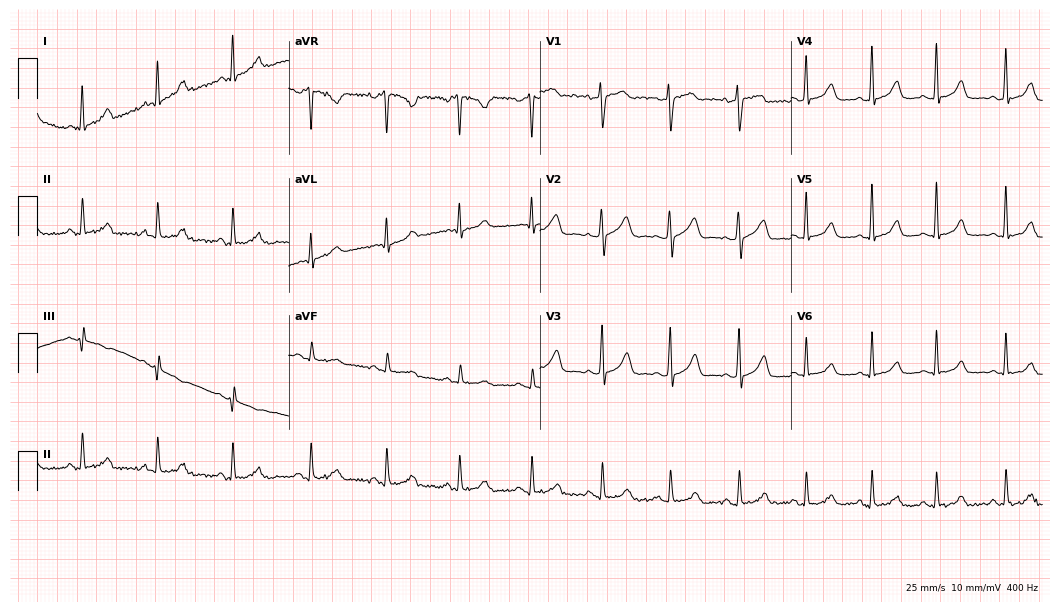
Electrocardiogram, a 37-year-old female. Overall reading on record: normal ECG.